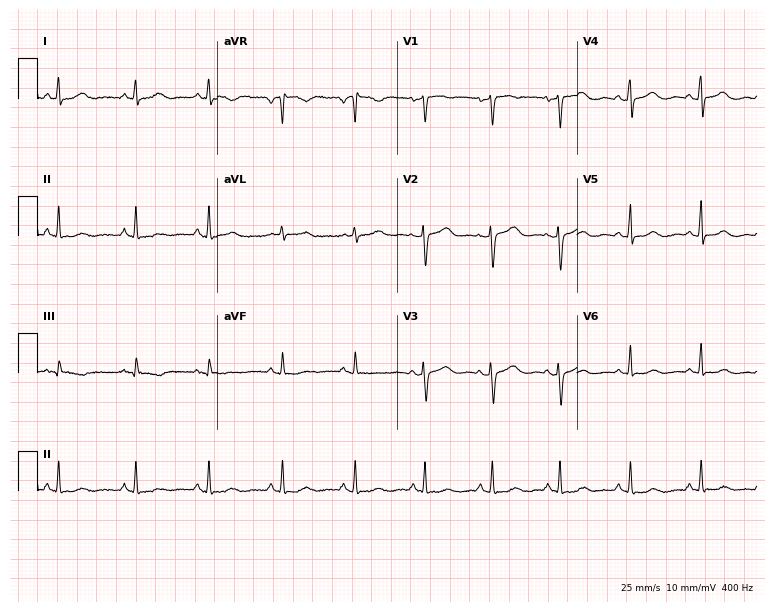
12-lead ECG from a 48-year-old female. No first-degree AV block, right bundle branch block (RBBB), left bundle branch block (LBBB), sinus bradycardia, atrial fibrillation (AF) or sinus tachycardia recorded for this tracing. Other findings, if any, are not listed.